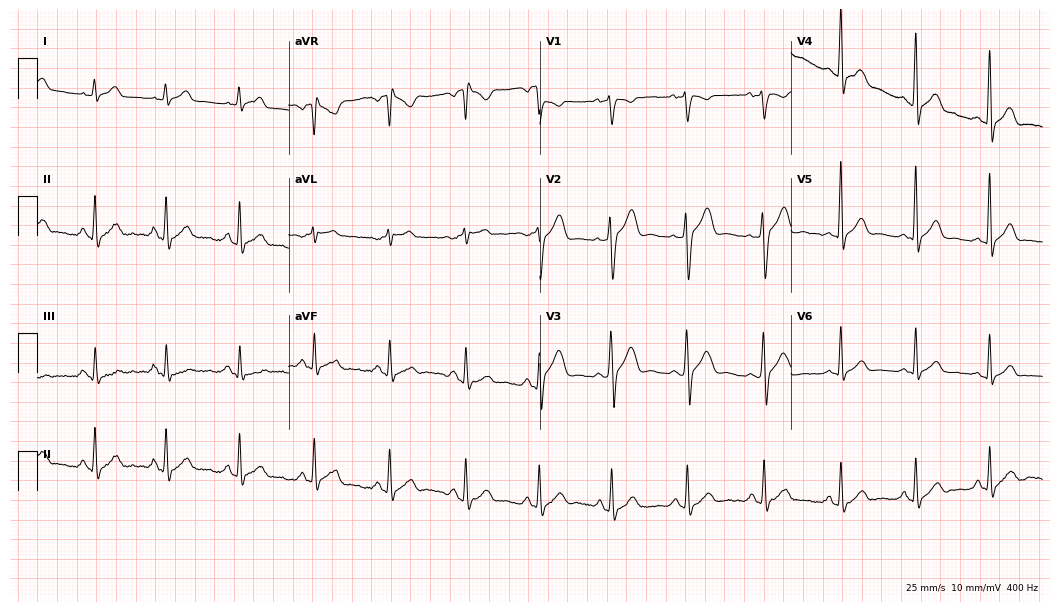
Electrocardiogram, a 22-year-old male patient. Overall reading on record: normal ECG.